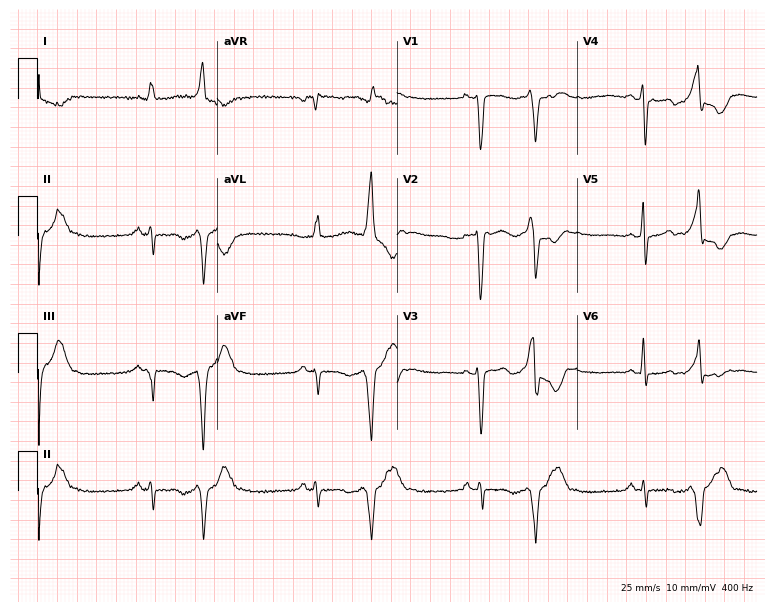
Electrocardiogram, a woman, 49 years old. Of the six screened findings (first-degree AV block, right bundle branch block (RBBB), left bundle branch block (LBBB), sinus bradycardia, atrial fibrillation (AF), sinus tachycardia), none is recorded. Findings outside these six are not listed.